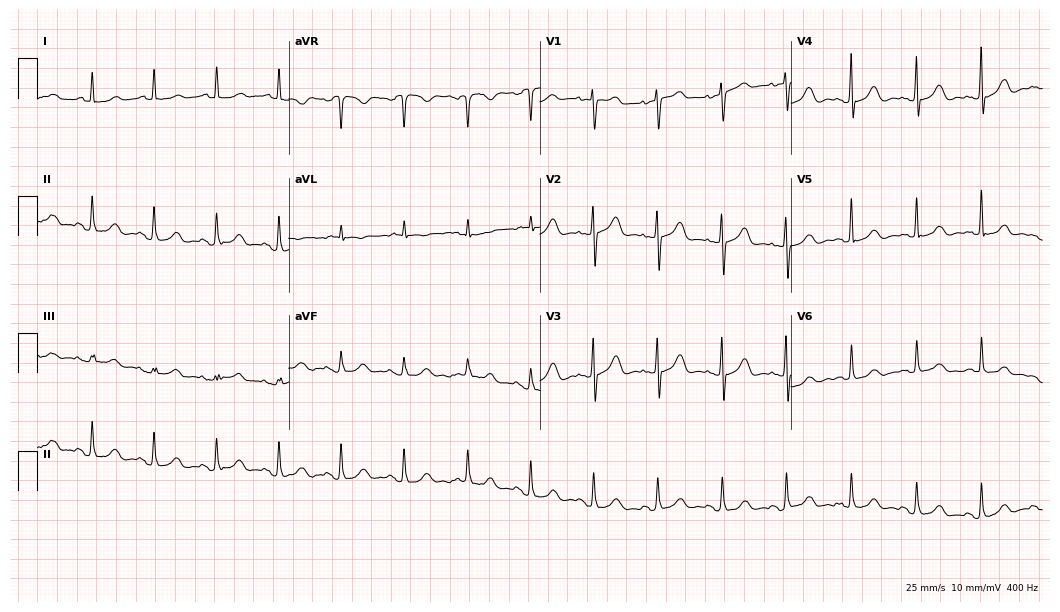
Electrocardiogram (10.2-second recording at 400 Hz), a woman, 77 years old. Of the six screened findings (first-degree AV block, right bundle branch block, left bundle branch block, sinus bradycardia, atrial fibrillation, sinus tachycardia), none is recorded.